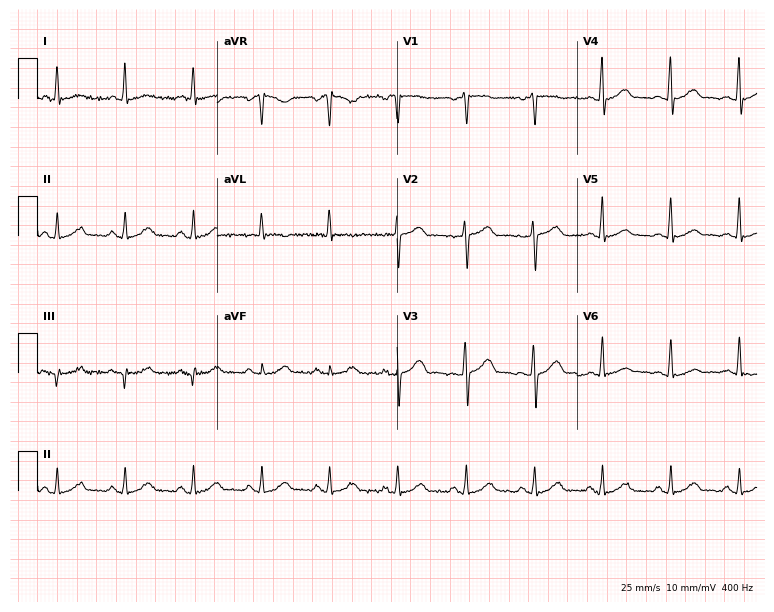
Electrocardiogram, a female, 55 years old. Of the six screened findings (first-degree AV block, right bundle branch block (RBBB), left bundle branch block (LBBB), sinus bradycardia, atrial fibrillation (AF), sinus tachycardia), none is recorded. Other findings, if any, are not listed.